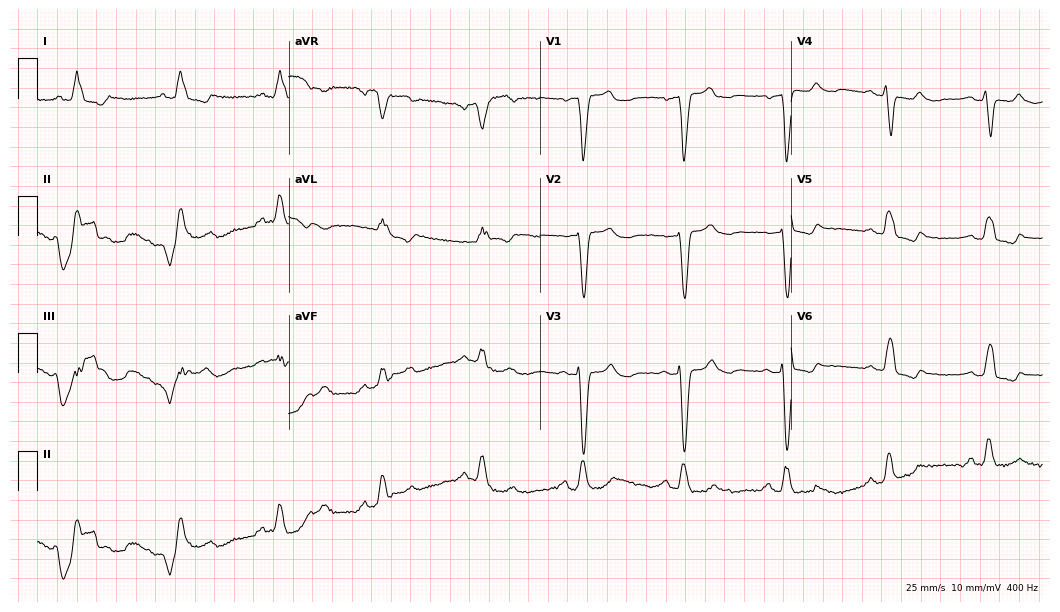
Standard 12-lead ECG recorded from a 67-year-old woman. The tracing shows left bundle branch block.